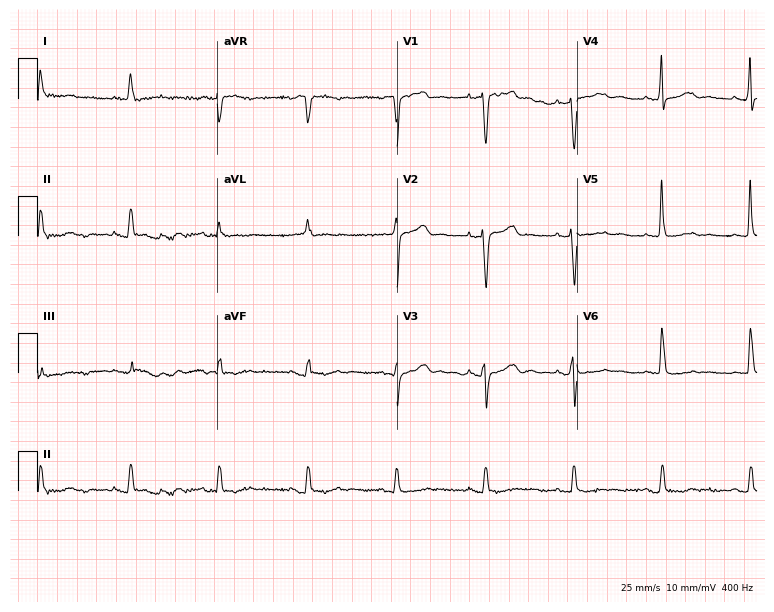
12-lead ECG from a woman, 71 years old. Screened for six findings — first-degree AV block, right bundle branch block, left bundle branch block, sinus bradycardia, atrial fibrillation, sinus tachycardia — none is recorded. Only these six findings were labelled.